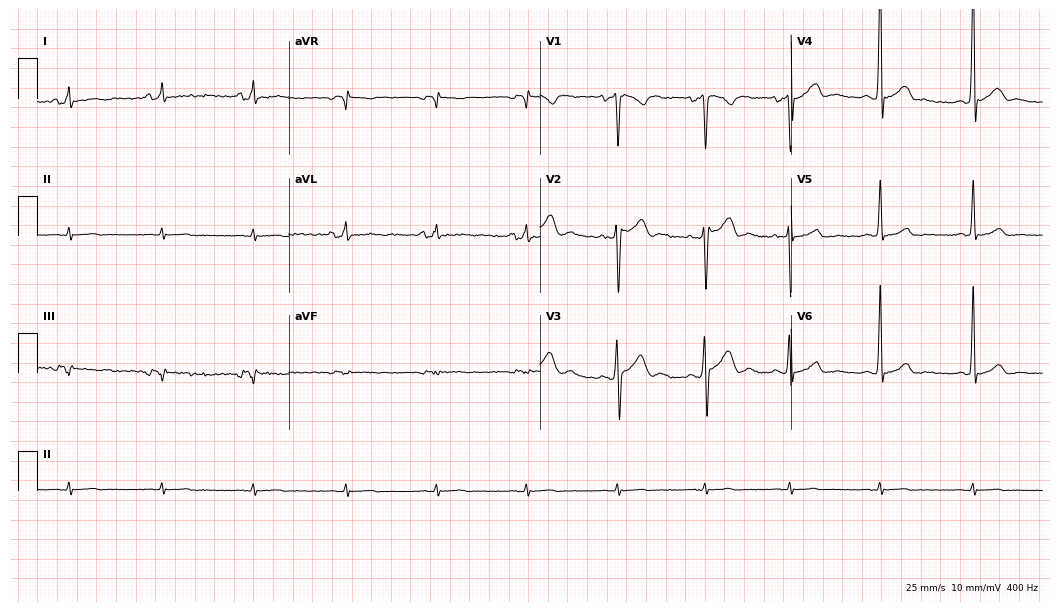
Electrocardiogram (10.2-second recording at 400 Hz), a 32-year-old man. Overall reading on record: normal ECG.